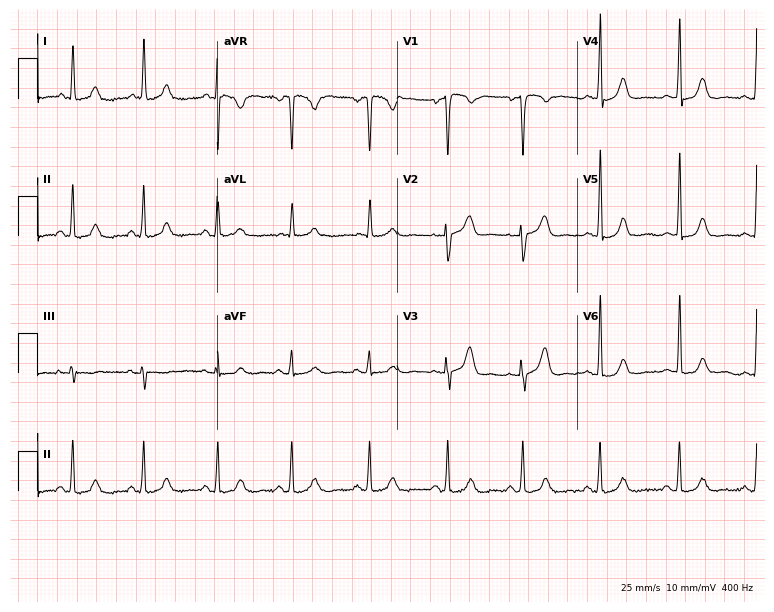
12-lead ECG from a woman, 37 years old. No first-degree AV block, right bundle branch block, left bundle branch block, sinus bradycardia, atrial fibrillation or sinus tachycardia recorded for this tracing.